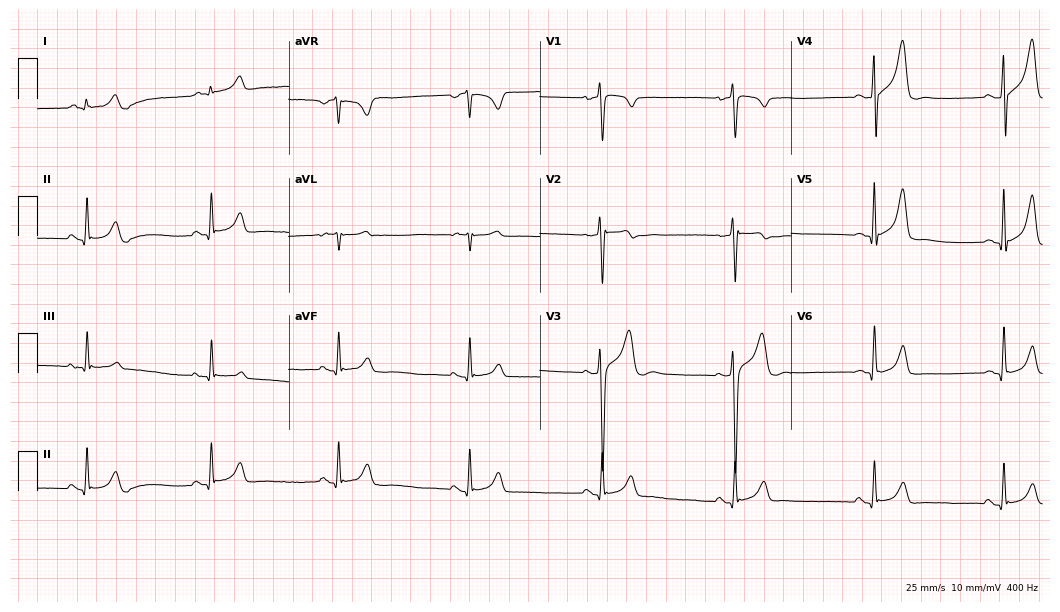
Resting 12-lead electrocardiogram. Patient: a 22-year-old man. The tracing shows sinus bradycardia (a sinus rate of 50 beats per minute or less).